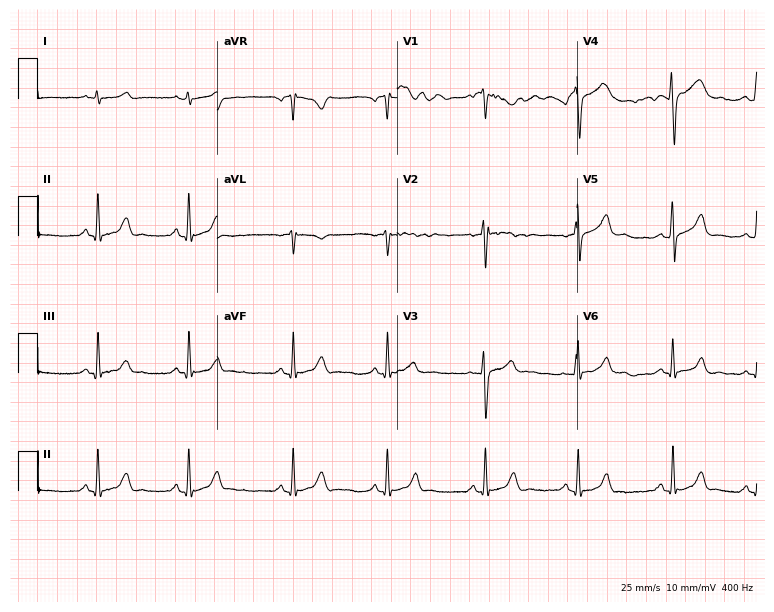
12-lead ECG from a 30-year-old female patient (7.3-second recording at 400 Hz). Recorded interpretation: within normal limits.